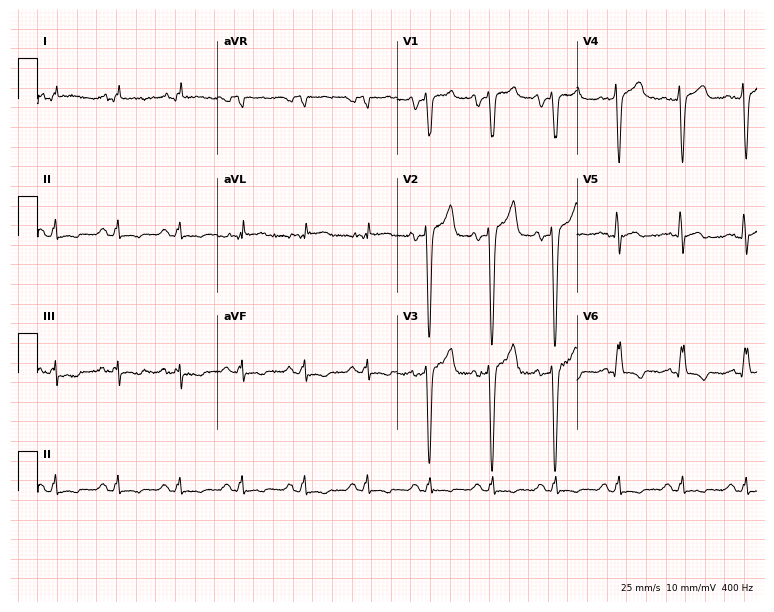
Electrocardiogram, a male, 64 years old. Of the six screened findings (first-degree AV block, right bundle branch block (RBBB), left bundle branch block (LBBB), sinus bradycardia, atrial fibrillation (AF), sinus tachycardia), none is recorded.